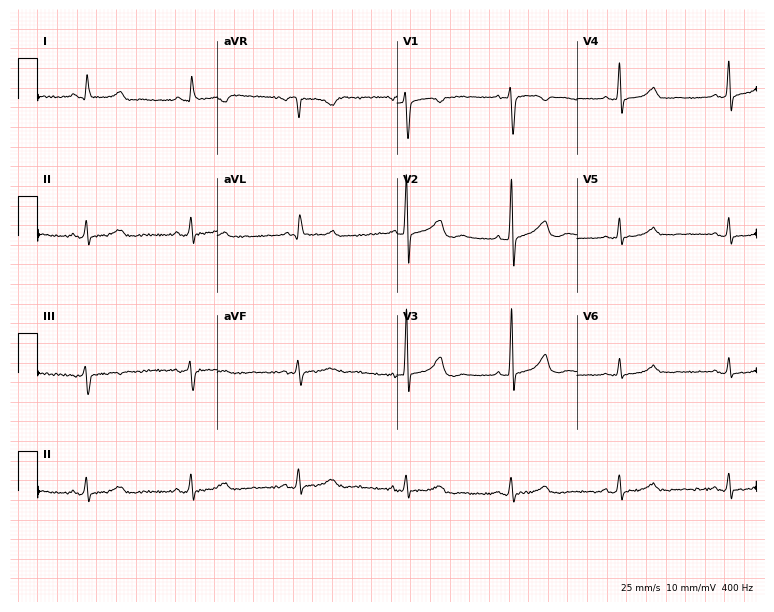
12-lead ECG from a 56-year-old female patient. No first-degree AV block, right bundle branch block, left bundle branch block, sinus bradycardia, atrial fibrillation or sinus tachycardia recorded for this tracing. Other findings, if any, are not listed.